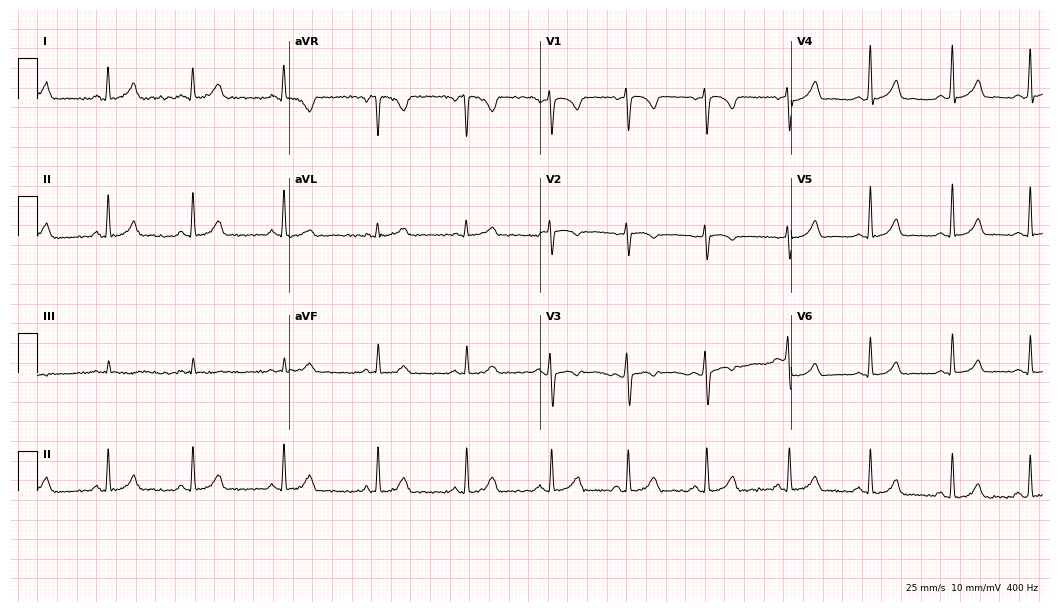
12-lead ECG from a female patient, 22 years old. Labelled as a normal ECG.